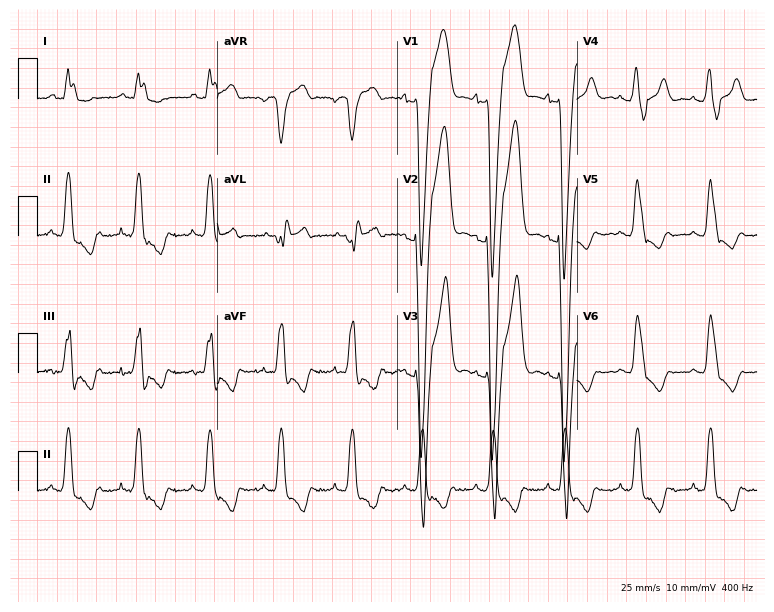
Standard 12-lead ECG recorded from a 56-year-old male. The tracing shows left bundle branch block.